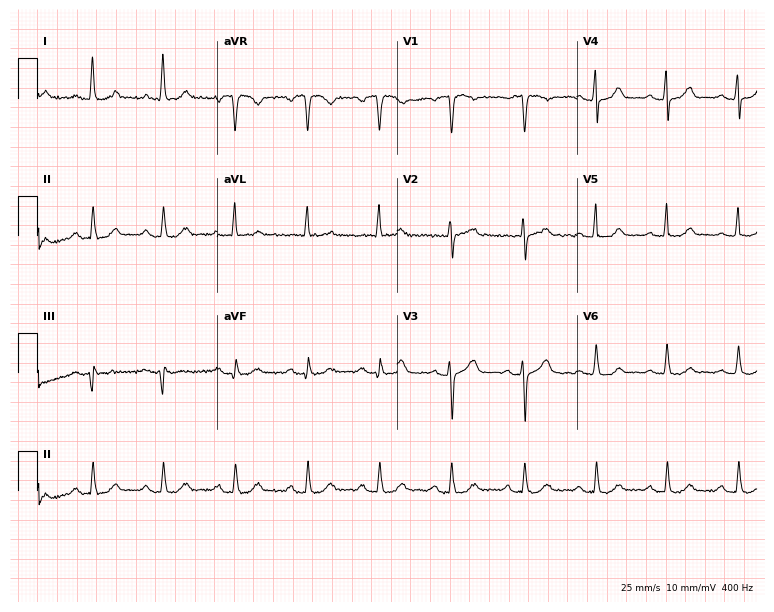
12-lead ECG from a female patient, 55 years old. Screened for six findings — first-degree AV block, right bundle branch block, left bundle branch block, sinus bradycardia, atrial fibrillation, sinus tachycardia — none is recorded.